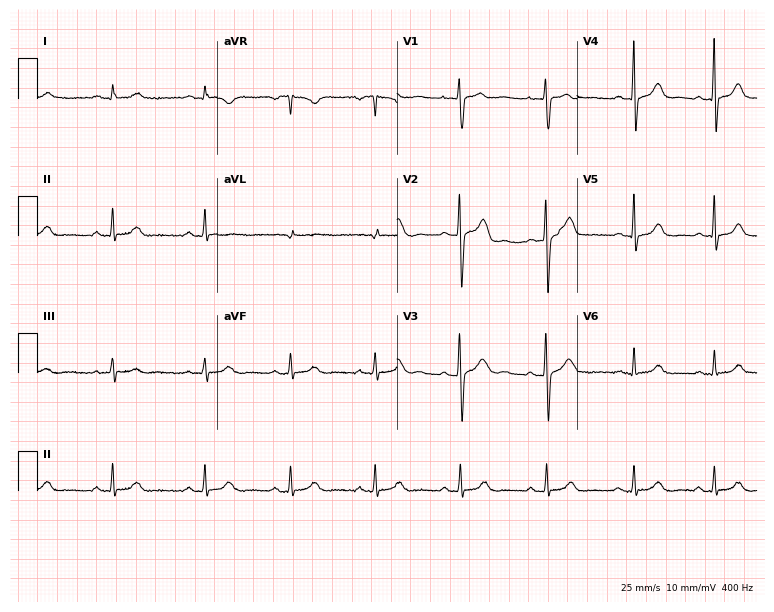
Resting 12-lead electrocardiogram (7.3-second recording at 400 Hz). Patient: a 19-year-old woman. Read as a normal ECG.